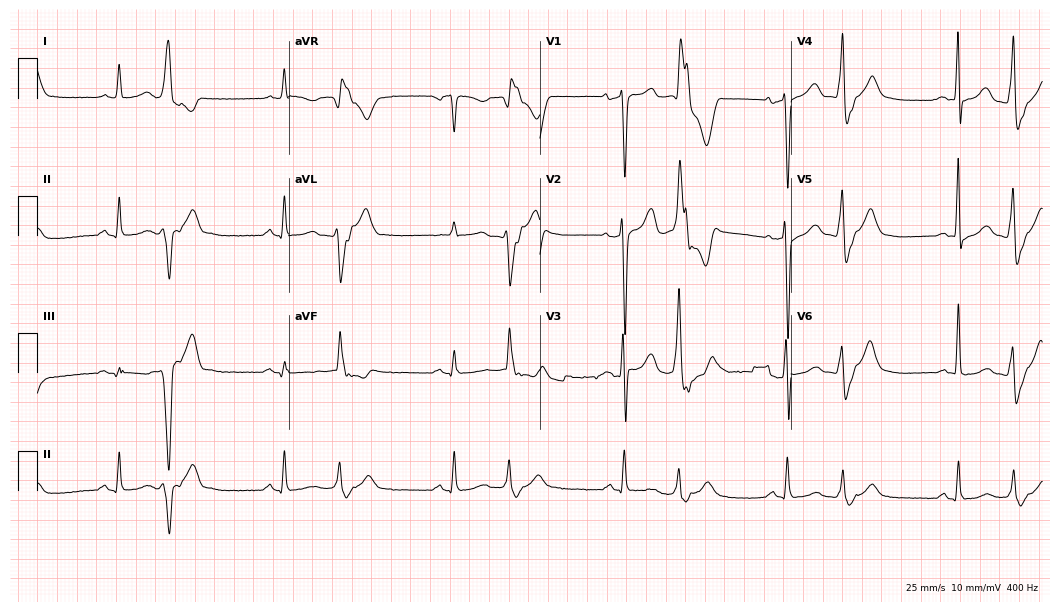
Electrocardiogram, a 79-year-old male patient. Of the six screened findings (first-degree AV block, right bundle branch block (RBBB), left bundle branch block (LBBB), sinus bradycardia, atrial fibrillation (AF), sinus tachycardia), none is recorded. Other findings, if any, are not listed.